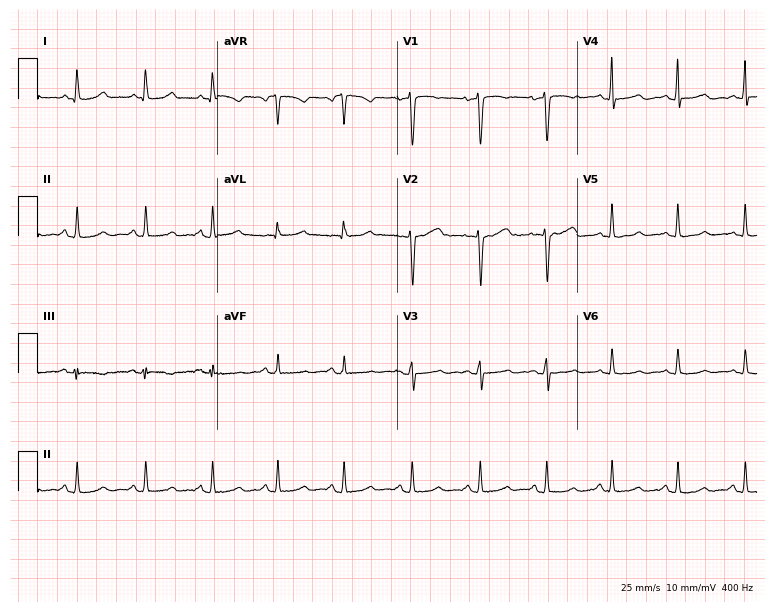
Resting 12-lead electrocardiogram. Patient: a female, 39 years old. Read as a normal ECG.